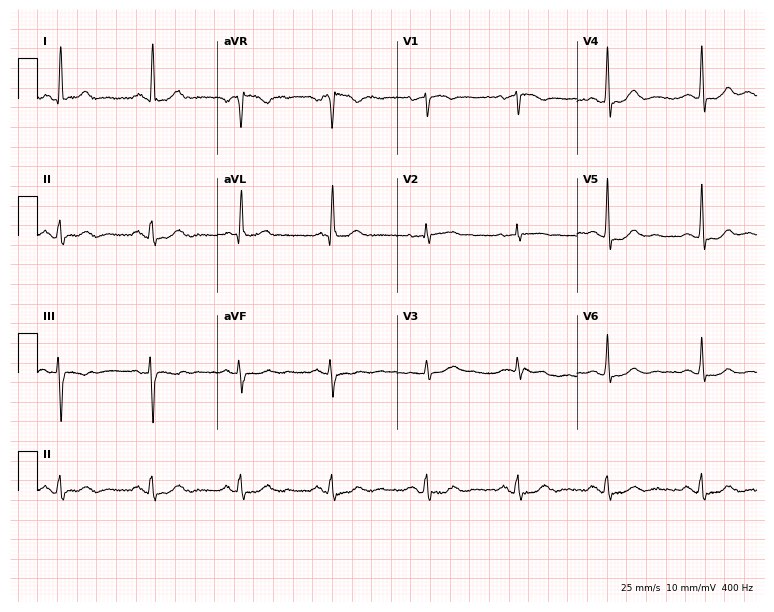
ECG — an 80-year-old female patient. Screened for six findings — first-degree AV block, right bundle branch block (RBBB), left bundle branch block (LBBB), sinus bradycardia, atrial fibrillation (AF), sinus tachycardia — none is recorded. Other findings, if any, are not listed.